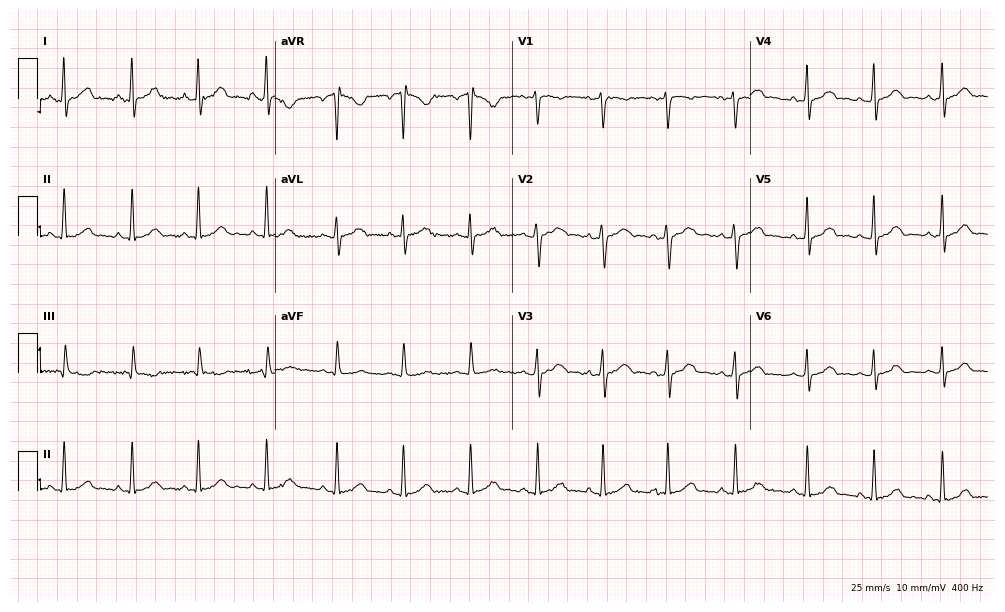
12-lead ECG (9.7-second recording at 400 Hz) from a female patient, 19 years old. Labelled as a normal ECG.